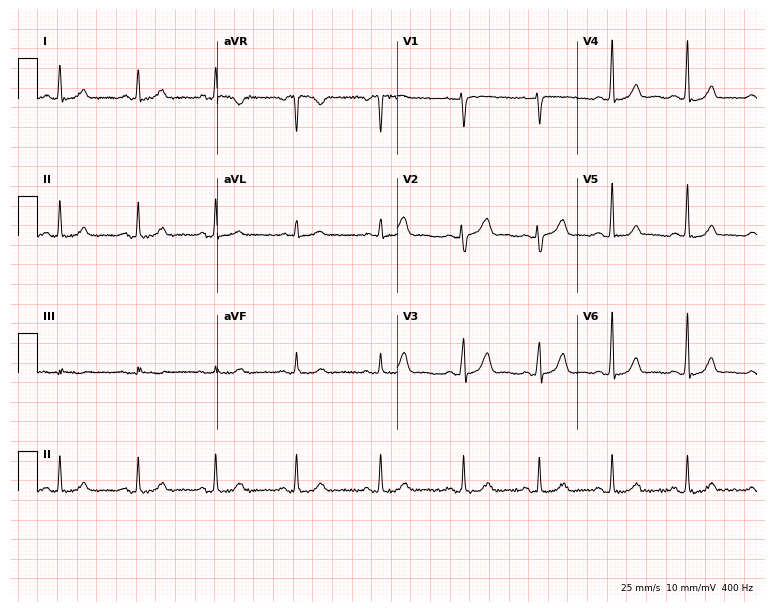
ECG (7.3-second recording at 400 Hz) — a 30-year-old woman. Labelled as a normal ECG.